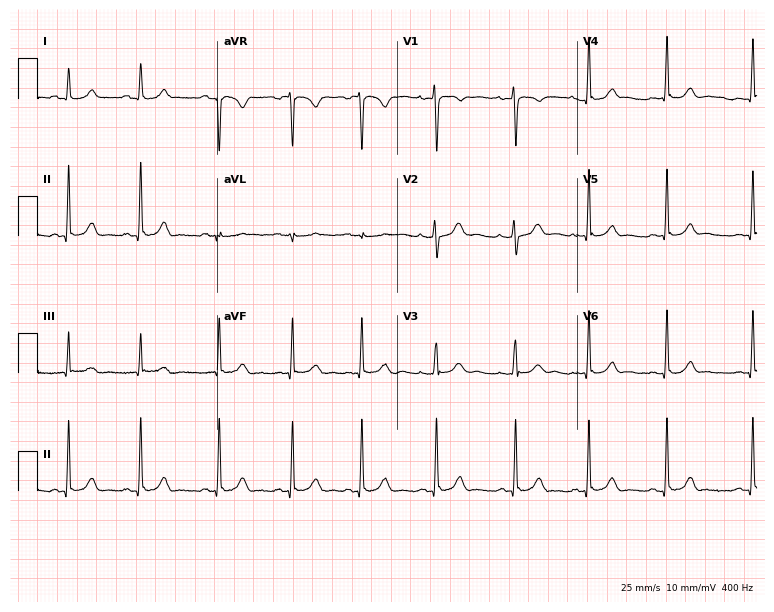
12-lead ECG from a woman, 20 years old. Recorded interpretation: within normal limits.